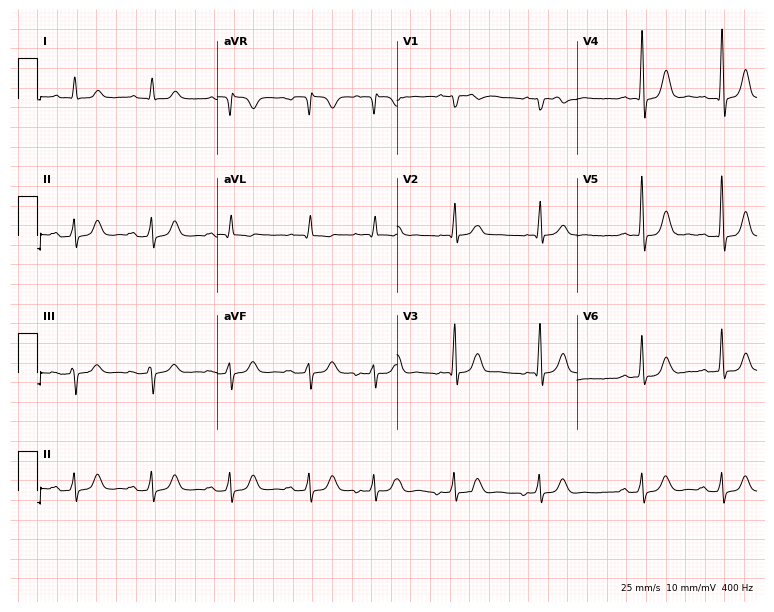
12-lead ECG from a male, 85 years old. Screened for six findings — first-degree AV block, right bundle branch block (RBBB), left bundle branch block (LBBB), sinus bradycardia, atrial fibrillation (AF), sinus tachycardia — none is recorded.